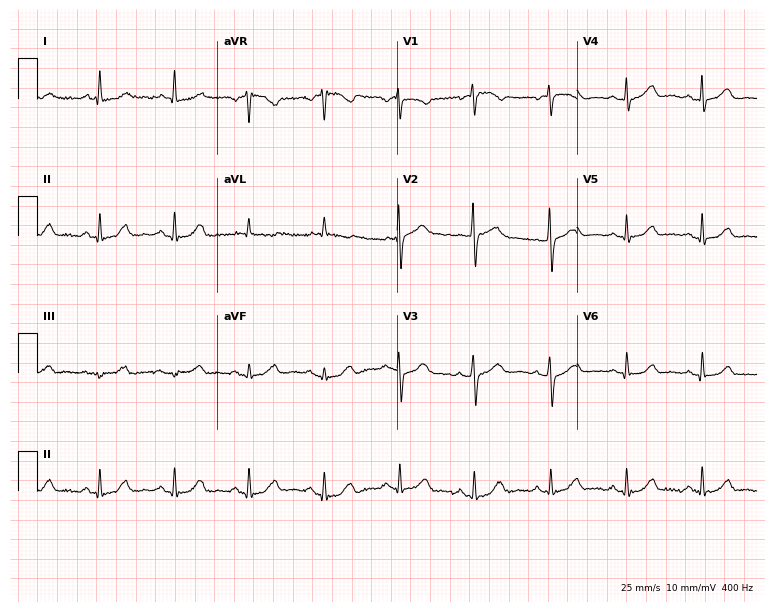
12-lead ECG from a 56-year-old woman. Labelled as a normal ECG.